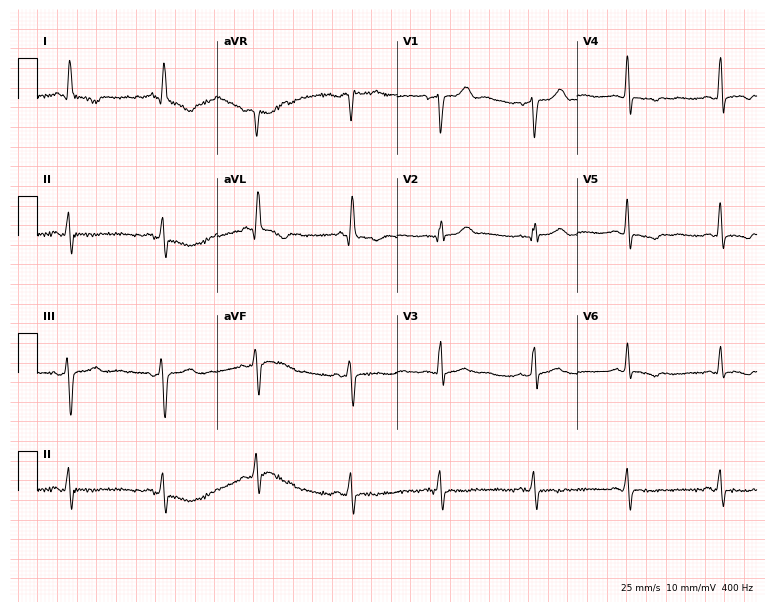
Electrocardiogram (7.3-second recording at 400 Hz), a female patient, 50 years old. Of the six screened findings (first-degree AV block, right bundle branch block, left bundle branch block, sinus bradycardia, atrial fibrillation, sinus tachycardia), none is recorded.